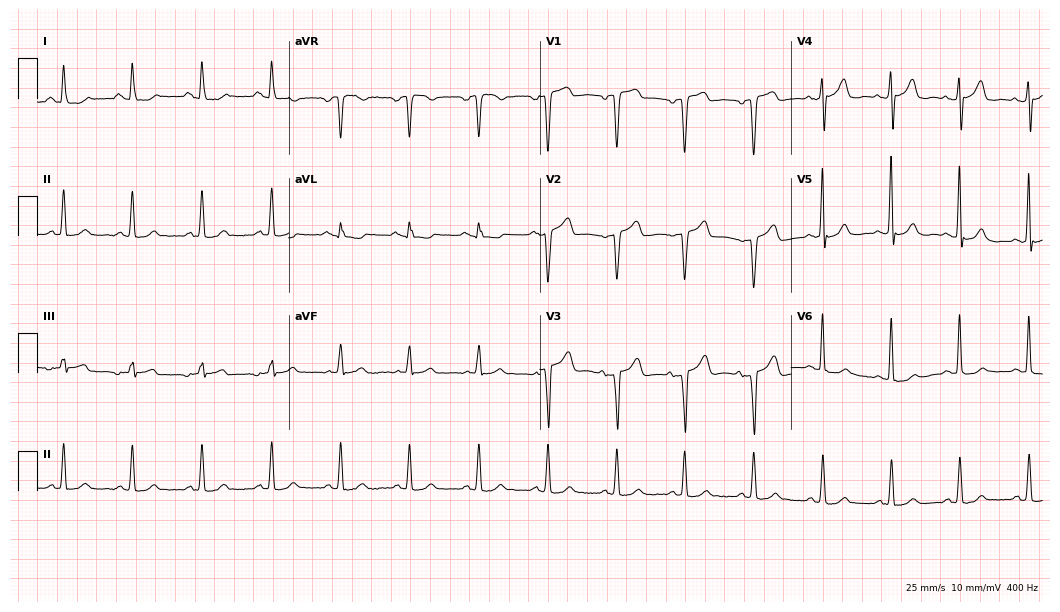
Standard 12-lead ECG recorded from an 81-year-old female (10.2-second recording at 400 Hz). None of these six findings is recorded: first-degree AV block, right bundle branch block, left bundle branch block, sinus bradycardia, atrial fibrillation, sinus tachycardia. Other findings, if any, are not listed.